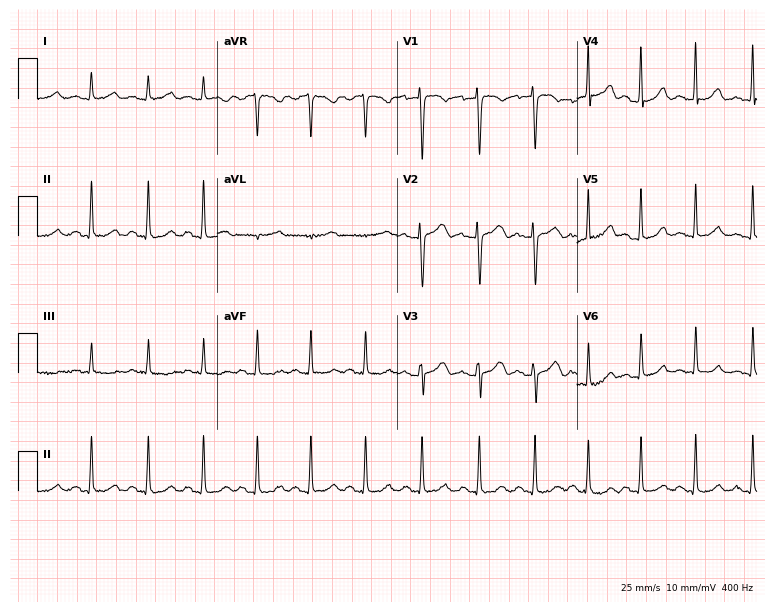
ECG — a woman, 23 years old. Findings include sinus tachycardia (a sinus rate of 100 beats per minute or more).